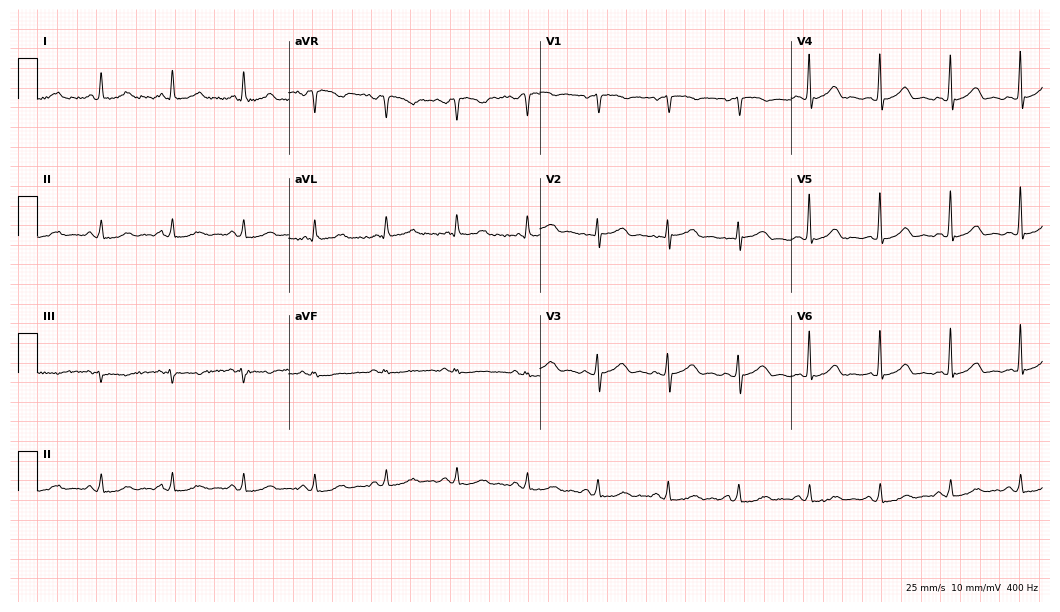
12-lead ECG (10.2-second recording at 400 Hz) from a female patient, 64 years old. Labelled as a normal ECG.